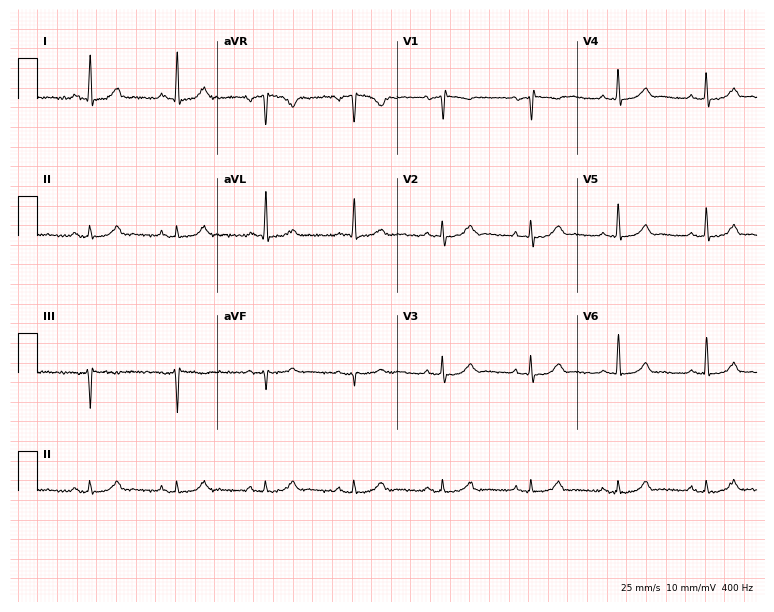
12-lead ECG from a woman, 54 years old. No first-degree AV block, right bundle branch block, left bundle branch block, sinus bradycardia, atrial fibrillation or sinus tachycardia recorded for this tracing. Findings outside these six are not listed.